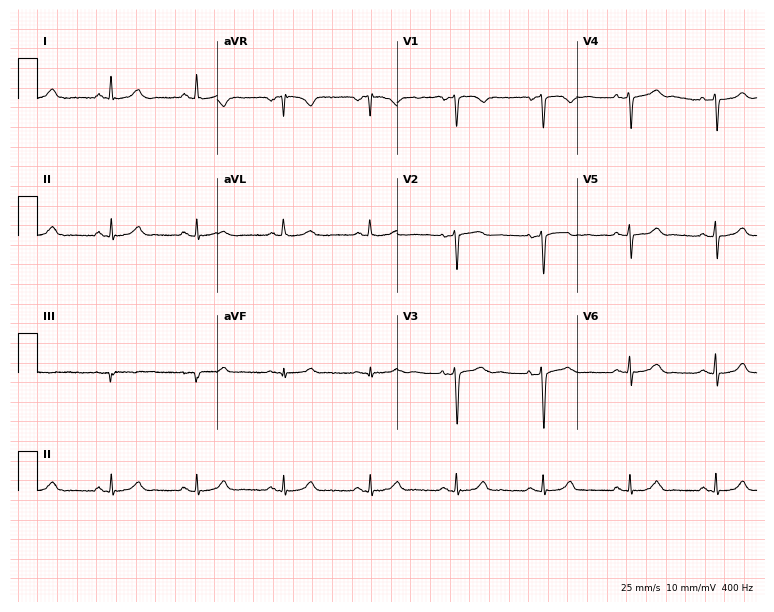
12-lead ECG from a female patient, 69 years old. Recorded interpretation: within normal limits.